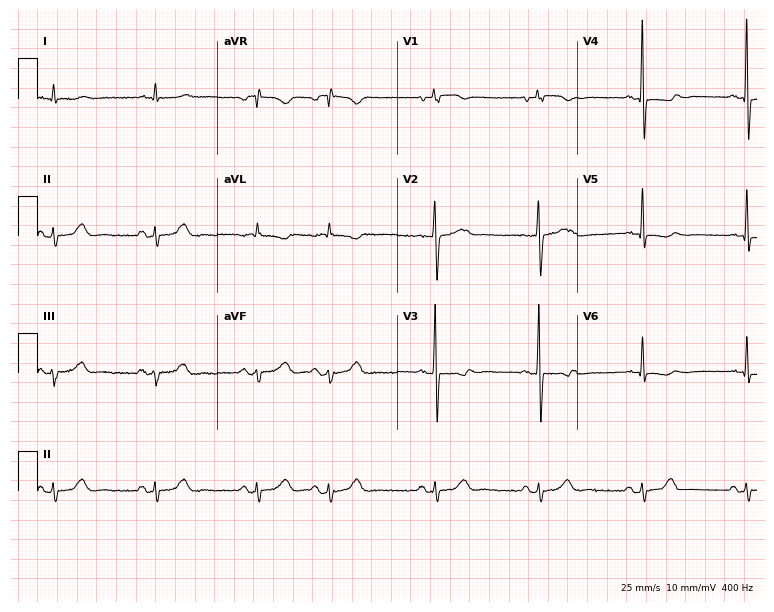
Resting 12-lead electrocardiogram (7.3-second recording at 400 Hz). Patient: a male, 79 years old. None of these six findings is recorded: first-degree AV block, right bundle branch block (RBBB), left bundle branch block (LBBB), sinus bradycardia, atrial fibrillation (AF), sinus tachycardia. Other findings, if any, are not listed.